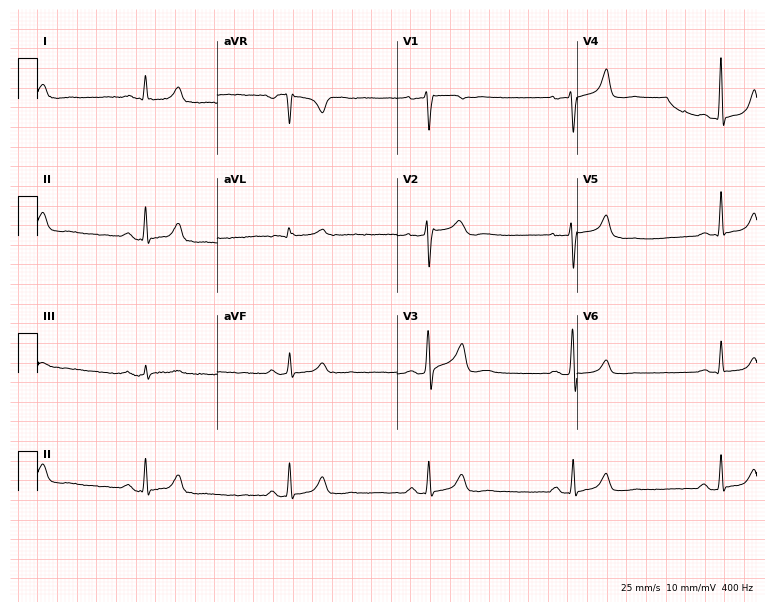
Resting 12-lead electrocardiogram. Patient: a 41-year-old male. The tracing shows sinus bradycardia (a sinus rate of 50 beats per minute or less).